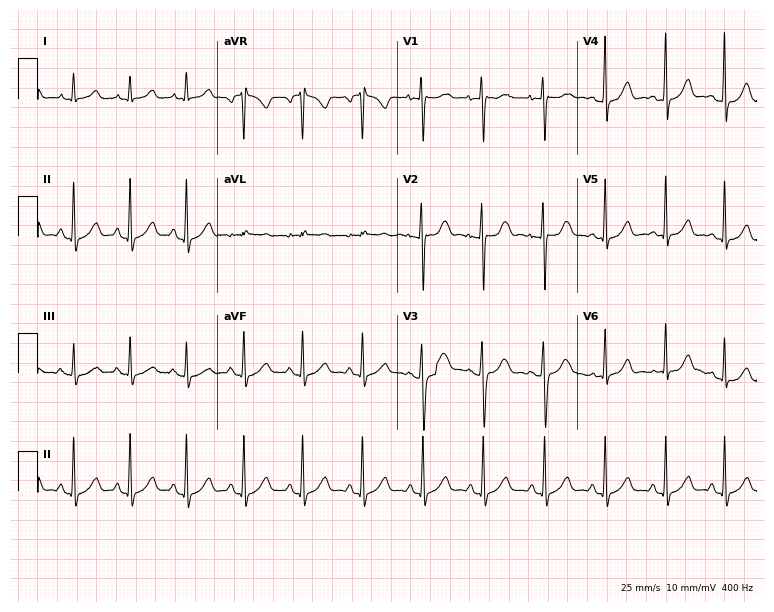
Electrocardiogram, a woman, 17 years old. Of the six screened findings (first-degree AV block, right bundle branch block, left bundle branch block, sinus bradycardia, atrial fibrillation, sinus tachycardia), none is recorded.